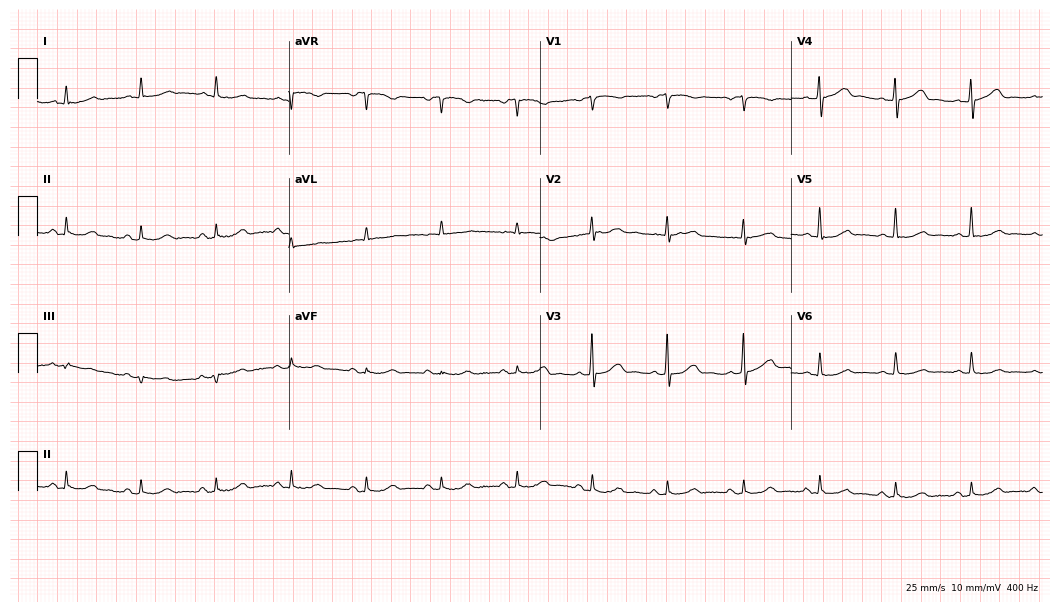
Standard 12-lead ECG recorded from a female patient, 81 years old (10.2-second recording at 400 Hz). None of these six findings is recorded: first-degree AV block, right bundle branch block (RBBB), left bundle branch block (LBBB), sinus bradycardia, atrial fibrillation (AF), sinus tachycardia. Other findings, if any, are not listed.